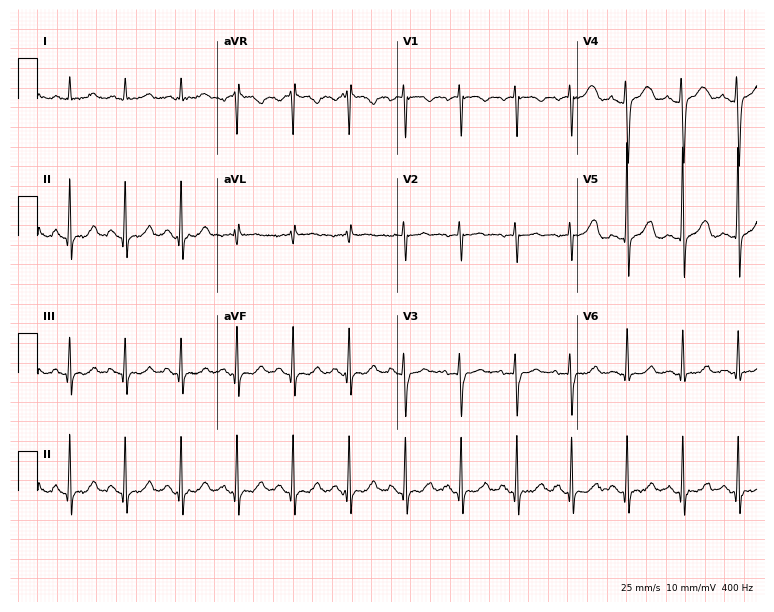
Resting 12-lead electrocardiogram. Patient: a 46-year-old woman. The tracing shows sinus tachycardia (a sinus rate of 100 beats per minute or more).